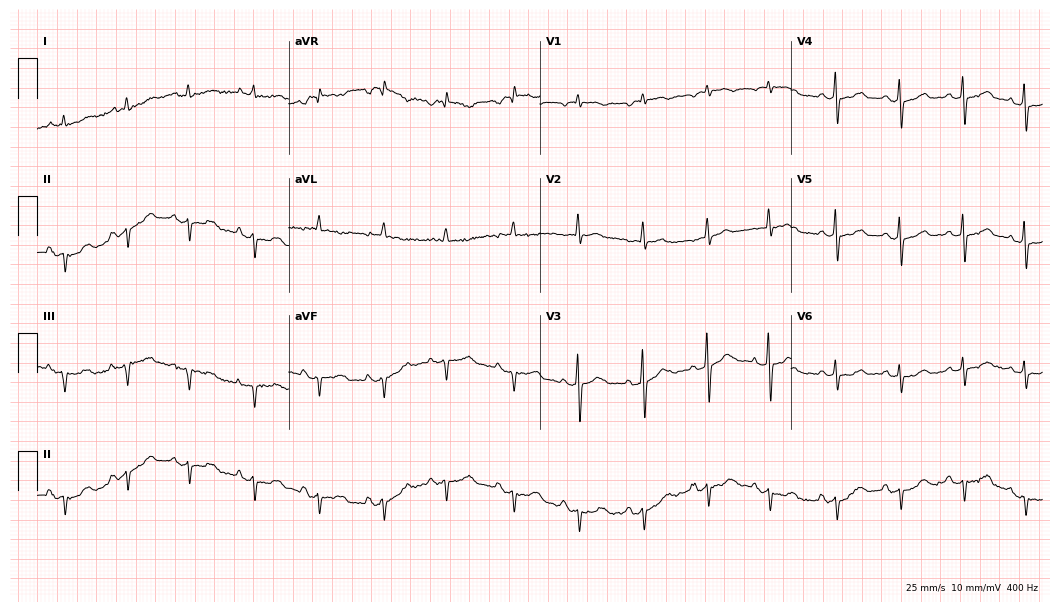
12-lead ECG from an 85-year-old woman (10.2-second recording at 400 Hz). No first-degree AV block, right bundle branch block (RBBB), left bundle branch block (LBBB), sinus bradycardia, atrial fibrillation (AF) or sinus tachycardia recorded for this tracing. Other findings, if any, are not listed.